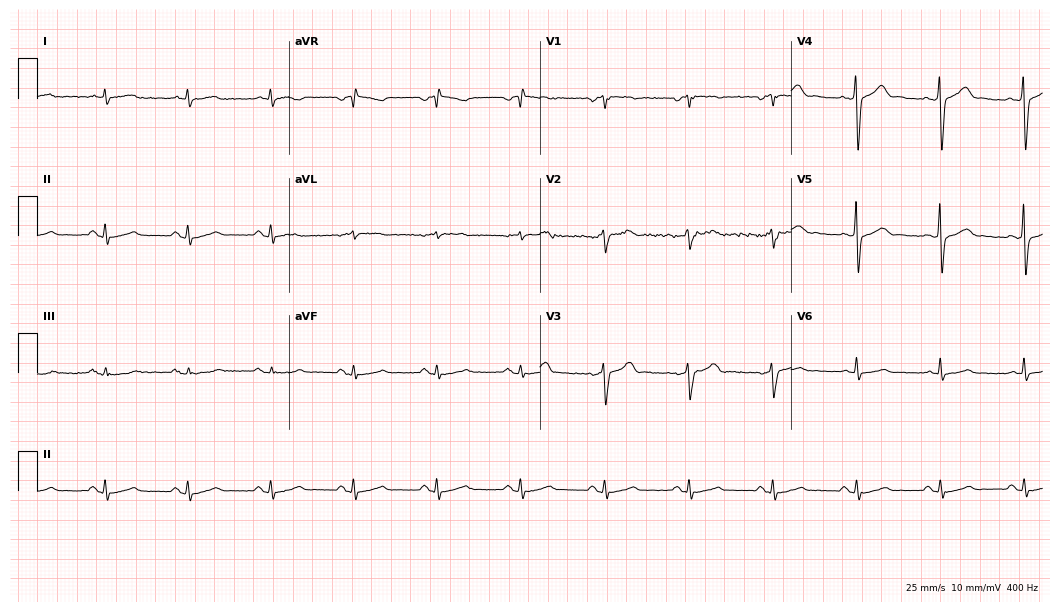
Standard 12-lead ECG recorded from a male patient, 47 years old (10.2-second recording at 400 Hz). Read as a normal ECG.